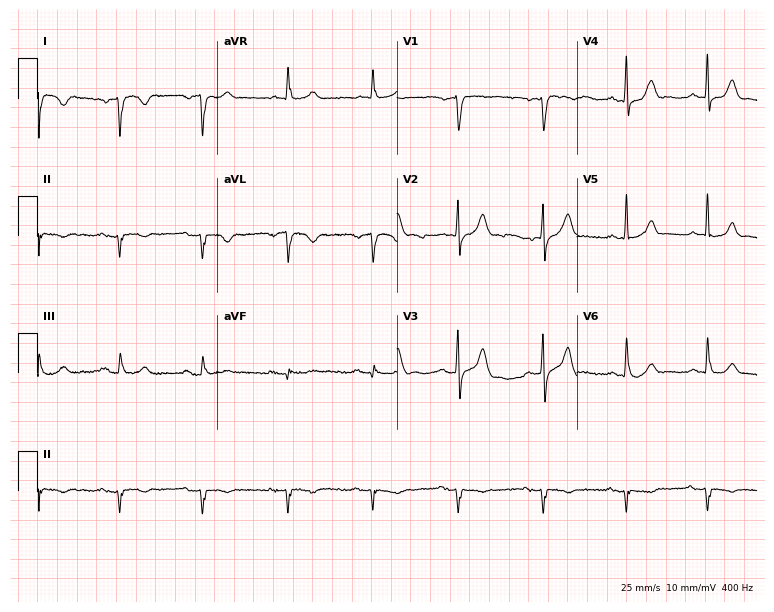
12-lead ECG from a 74-year-old male patient. Screened for six findings — first-degree AV block, right bundle branch block (RBBB), left bundle branch block (LBBB), sinus bradycardia, atrial fibrillation (AF), sinus tachycardia — none is recorded.